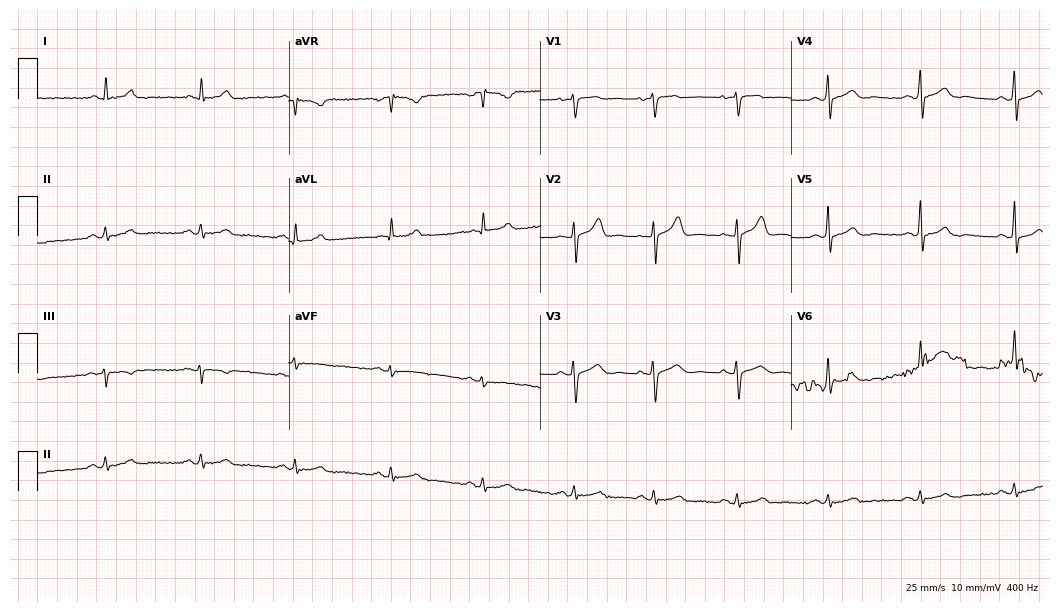
Standard 12-lead ECG recorded from a man, 37 years old. Read as a normal ECG.